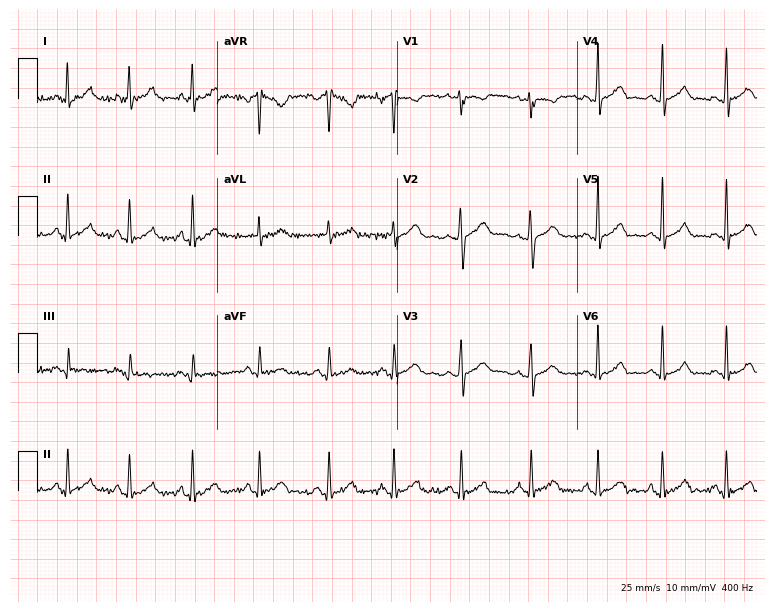
12-lead ECG from a 19-year-old female patient. Recorded interpretation: within normal limits.